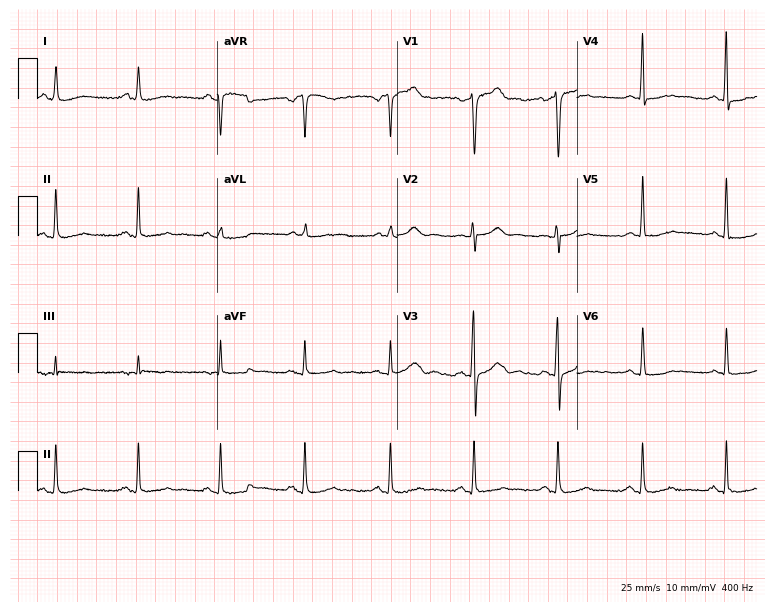
ECG — a man, 59 years old. Screened for six findings — first-degree AV block, right bundle branch block, left bundle branch block, sinus bradycardia, atrial fibrillation, sinus tachycardia — none is recorded. Other findings, if any, are not listed.